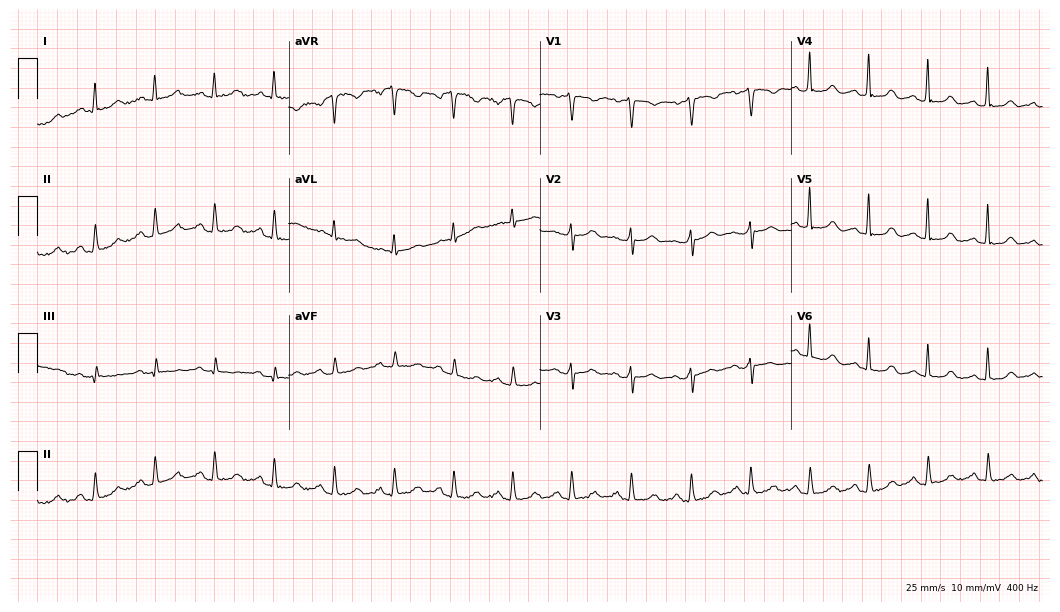
Electrocardiogram (10.2-second recording at 400 Hz), a woman, 44 years old. Overall reading on record: normal ECG.